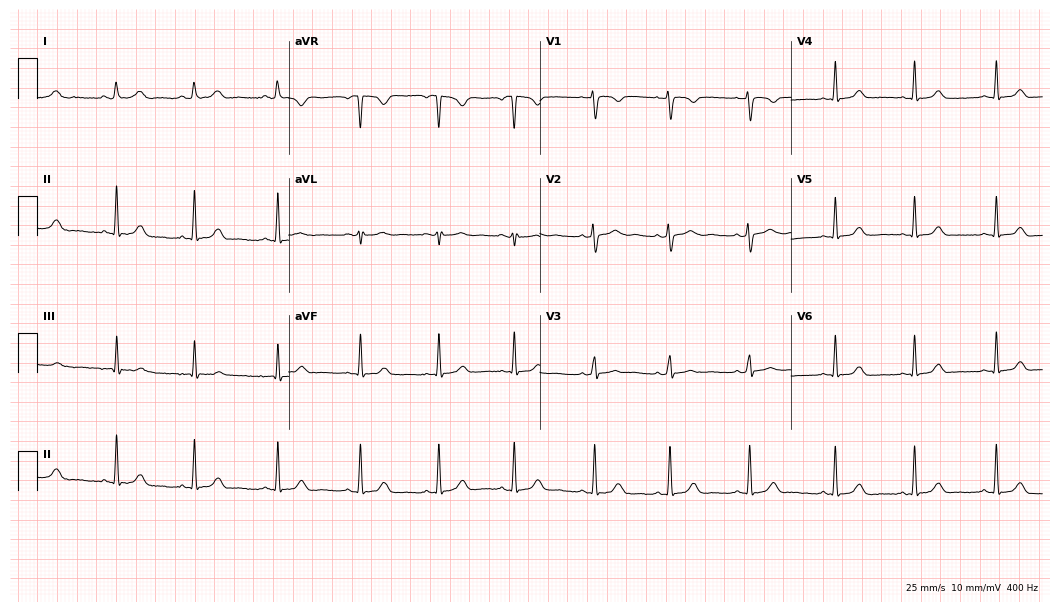
Electrocardiogram (10.2-second recording at 400 Hz), a 17-year-old female patient. Of the six screened findings (first-degree AV block, right bundle branch block (RBBB), left bundle branch block (LBBB), sinus bradycardia, atrial fibrillation (AF), sinus tachycardia), none is recorded. Only these six findings were labelled.